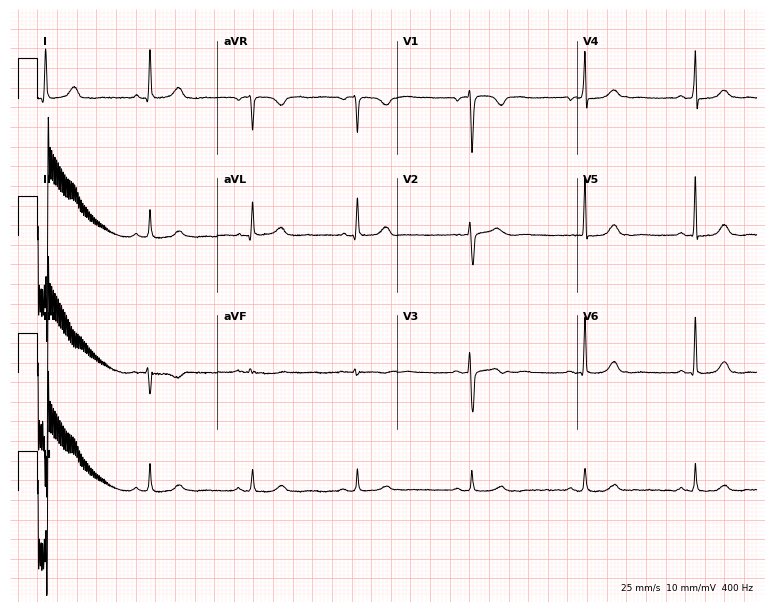
ECG — a female patient, 46 years old. Screened for six findings — first-degree AV block, right bundle branch block, left bundle branch block, sinus bradycardia, atrial fibrillation, sinus tachycardia — none is recorded.